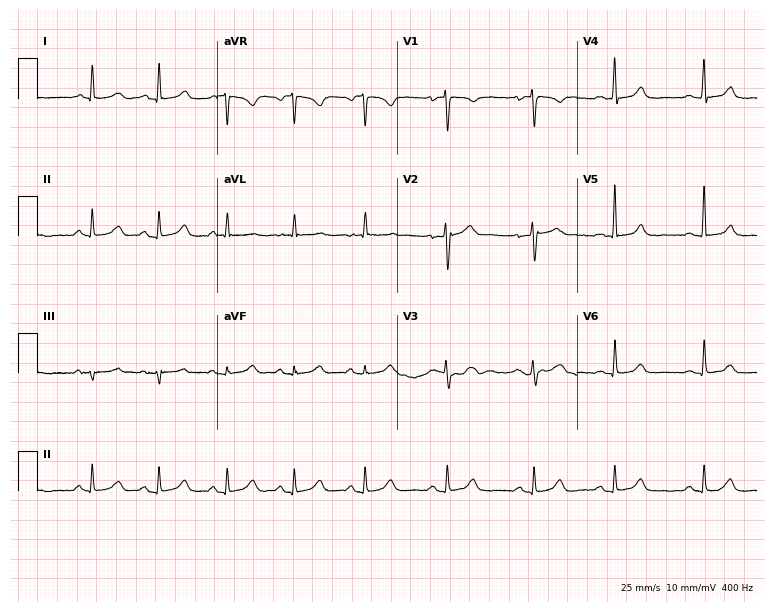
12-lead ECG (7.3-second recording at 400 Hz) from a female patient, 26 years old. Screened for six findings — first-degree AV block, right bundle branch block, left bundle branch block, sinus bradycardia, atrial fibrillation, sinus tachycardia — none is recorded. Findings outside these six are not listed.